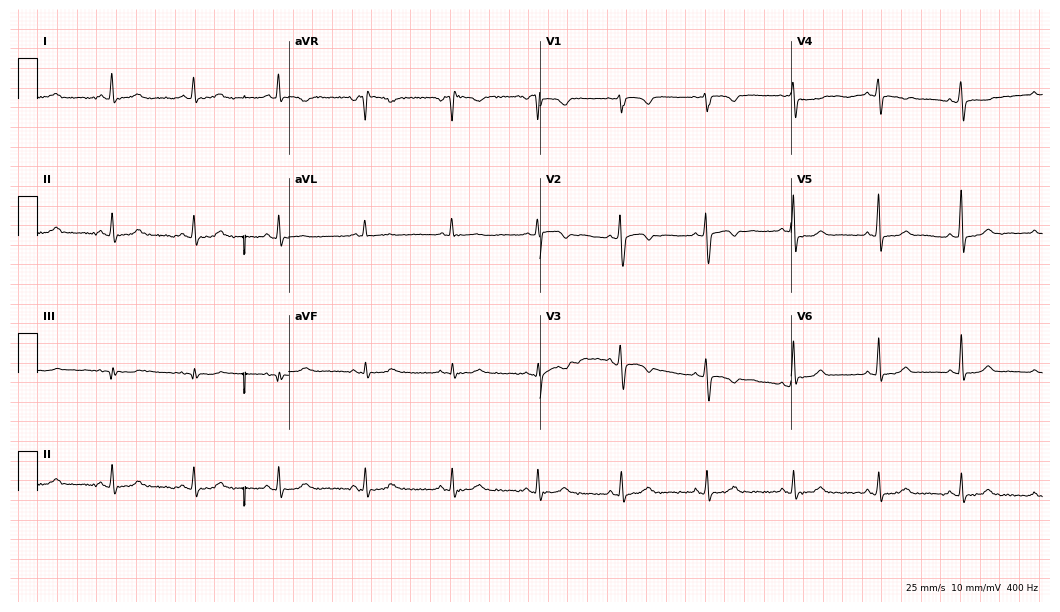
12-lead ECG (10.2-second recording at 400 Hz) from a 50-year-old female patient. Screened for six findings — first-degree AV block, right bundle branch block, left bundle branch block, sinus bradycardia, atrial fibrillation, sinus tachycardia — none is recorded. Other findings, if any, are not listed.